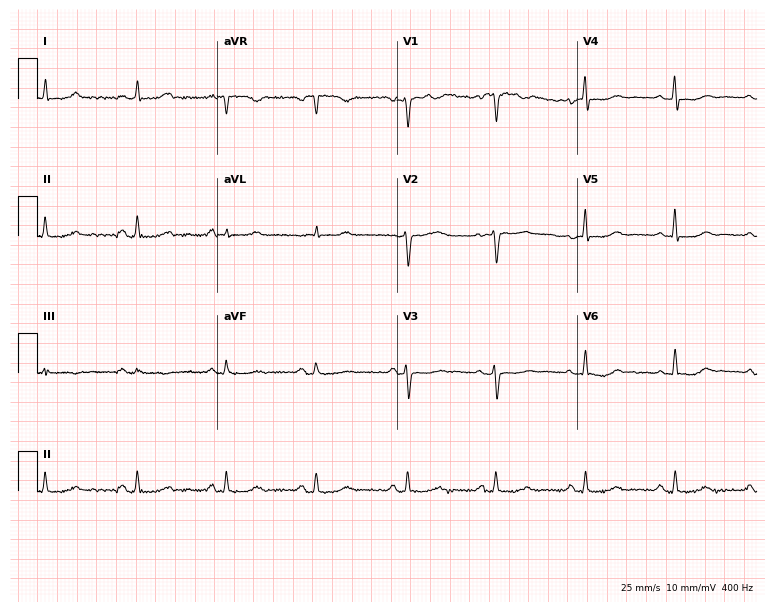
Standard 12-lead ECG recorded from a female, 51 years old (7.3-second recording at 400 Hz). Read as a normal ECG.